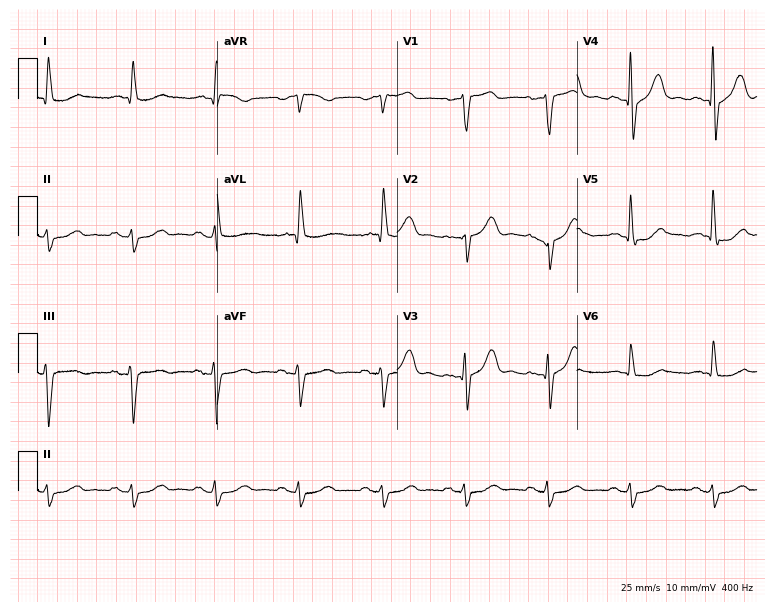
Standard 12-lead ECG recorded from a male patient, 70 years old. None of these six findings is recorded: first-degree AV block, right bundle branch block, left bundle branch block, sinus bradycardia, atrial fibrillation, sinus tachycardia.